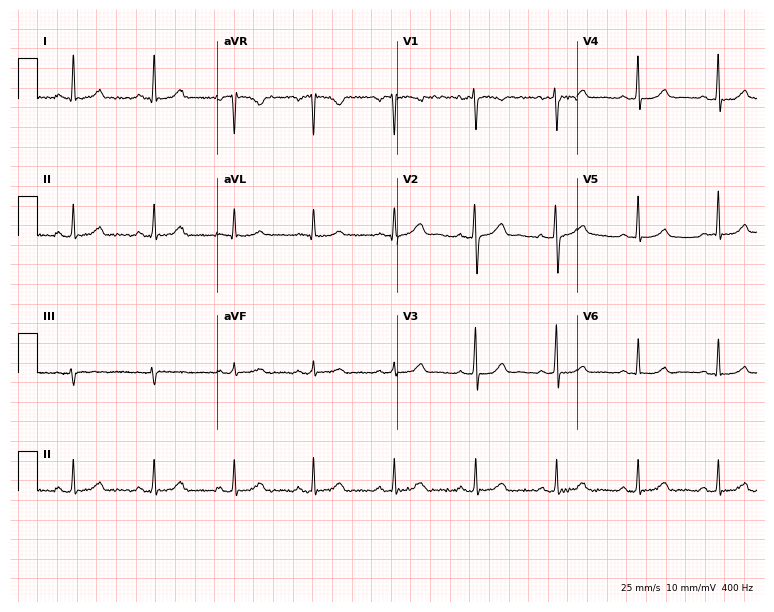
12-lead ECG from a female patient, 43 years old (7.3-second recording at 400 Hz). Recorded interpretation: within normal limits.